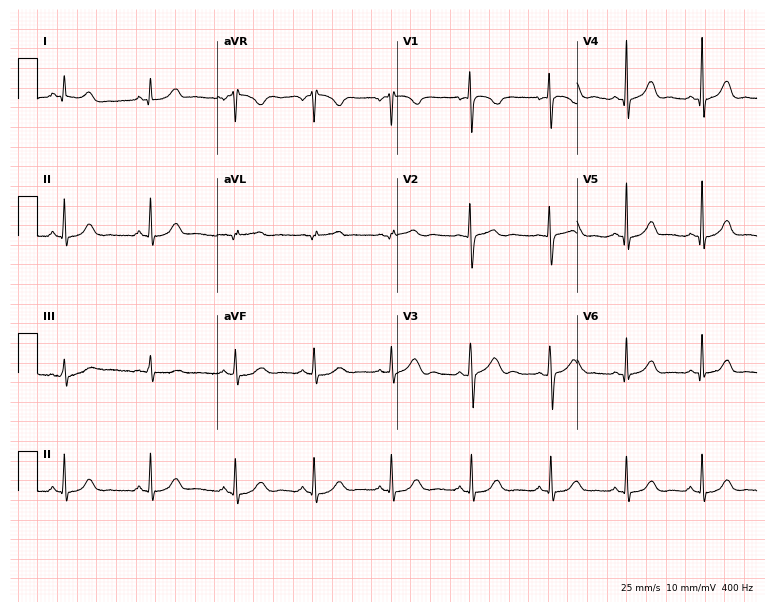
Electrocardiogram (7.3-second recording at 400 Hz), a 29-year-old female. Overall reading on record: normal ECG.